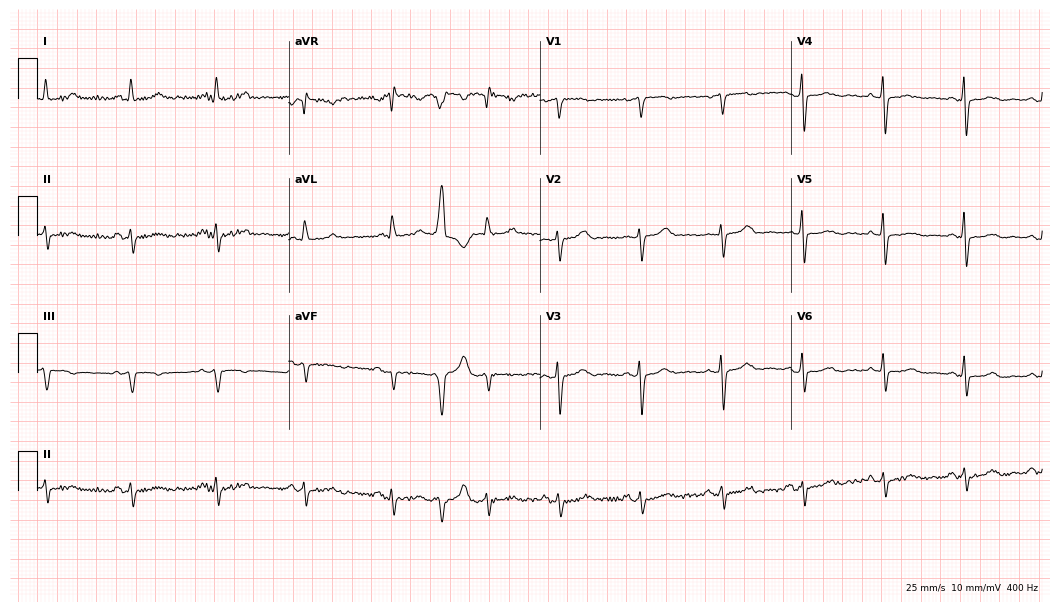
12-lead ECG from a 76-year-old female (10.2-second recording at 400 Hz). No first-degree AV block, right bundle branch block (RBBB), left bundle branch block (LBBB), sinus bradycardia, atrial fibrillation (AF) or sinus tachycardia recorded for this tracing. Only these six findings were labelled.